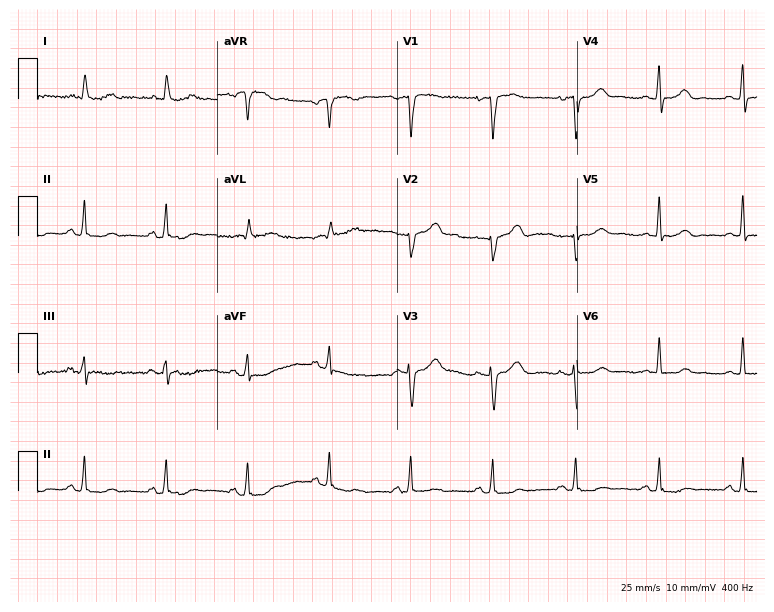
Standard 12-lead ECG recorded from a 60-year-old female (7.3-second recording at 400 Hz). Read as a normal ECG.